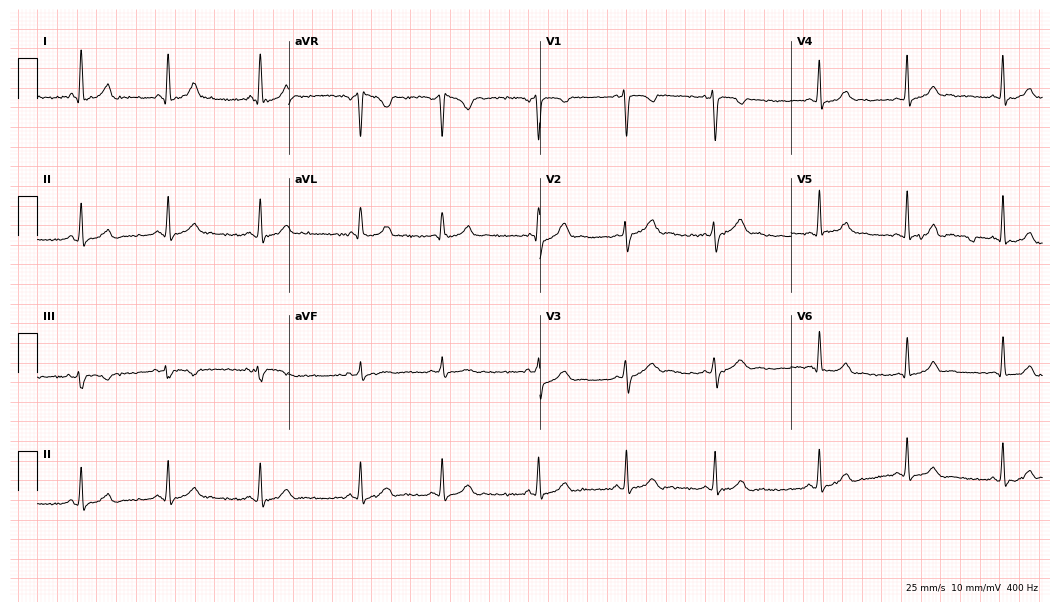
12-lead ECG from a 25-year-old woman. No first-degree AV block, right bundle branch block (RBBB), left bundle branch block (LBBB), sinus bradycardia, atrial fibrillation (AF) or sinus tachycardia recorded for this tracing.